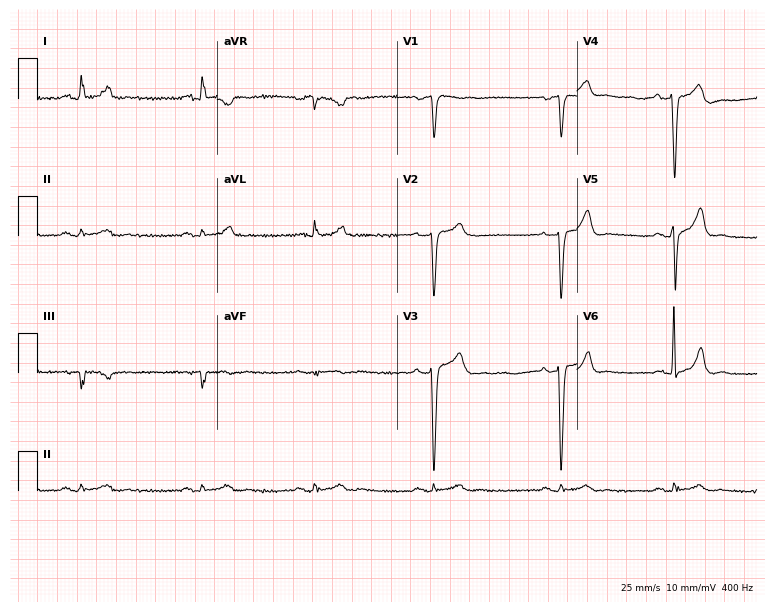
Resting 12-lead electrocardiogram (7.3-second recording at 400 Hz). Patient: a 44-year-old male. None of these six findings is recorded: first-degree AV block, right bundle branch block, left bundle branch block, sinus bradycardia, atrial fibrillation, sinus tachycardia.